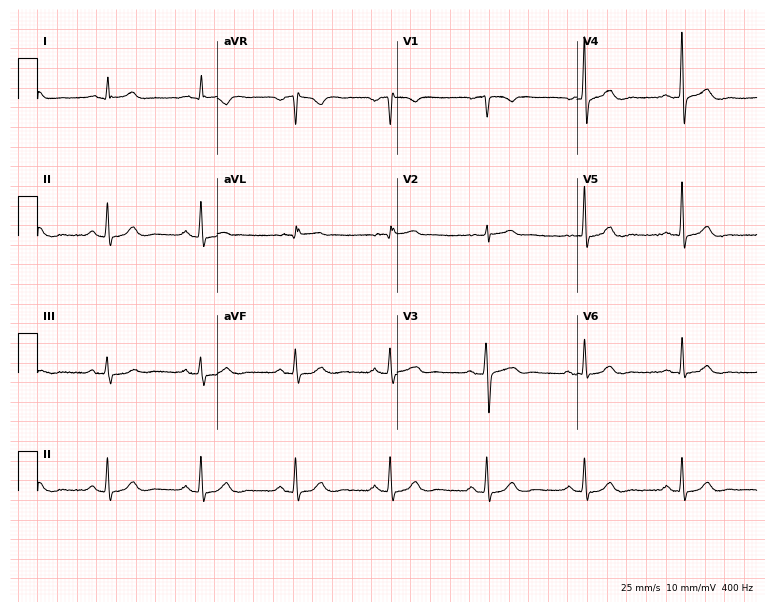
Standard 12-lead ECG recorded from a male patient, 56 years old (7.3-second recording at 400 Hz). Read as a normal ECG.